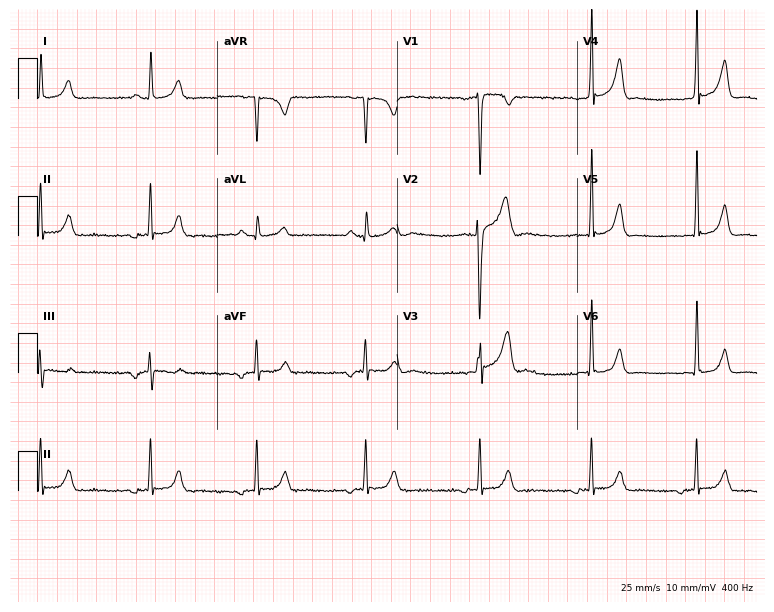
ECG (7.3-second recording at 400 Hz) — a 24-year-old male. Screened for six findings — first-degree AV block, right bundle branch block (RBBB), left bundle branch block (LBBB), sinus bradycardia, atrial fibrillation (AF), sinus tachycardia — none is recorded.